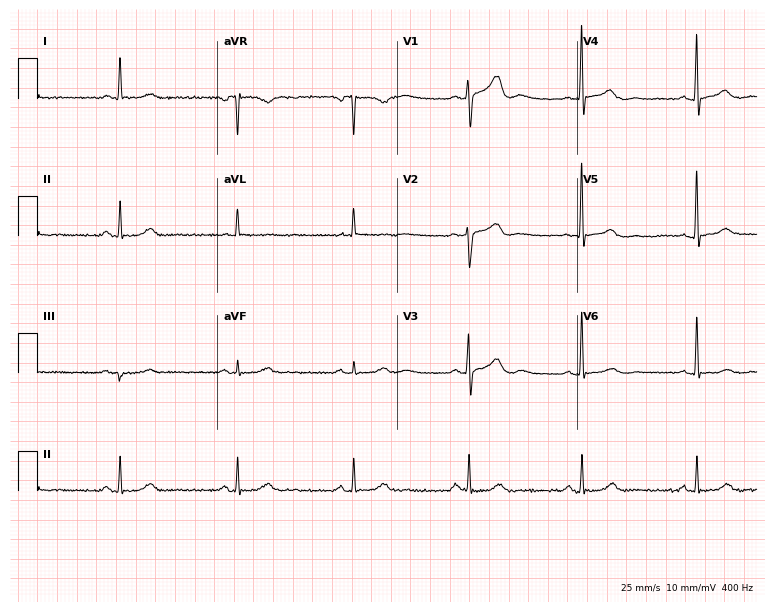
12-lead ECG (7.3-second recording at 400 Hz) from a woman, 62 years old. Screened for six findings — first-degree AV block, right bundle branch block (RBBB), left bundle branch block (LBBB), sinus bradycardia, atrial fibrillation (AF), sinus tachycardia — none is recorded.